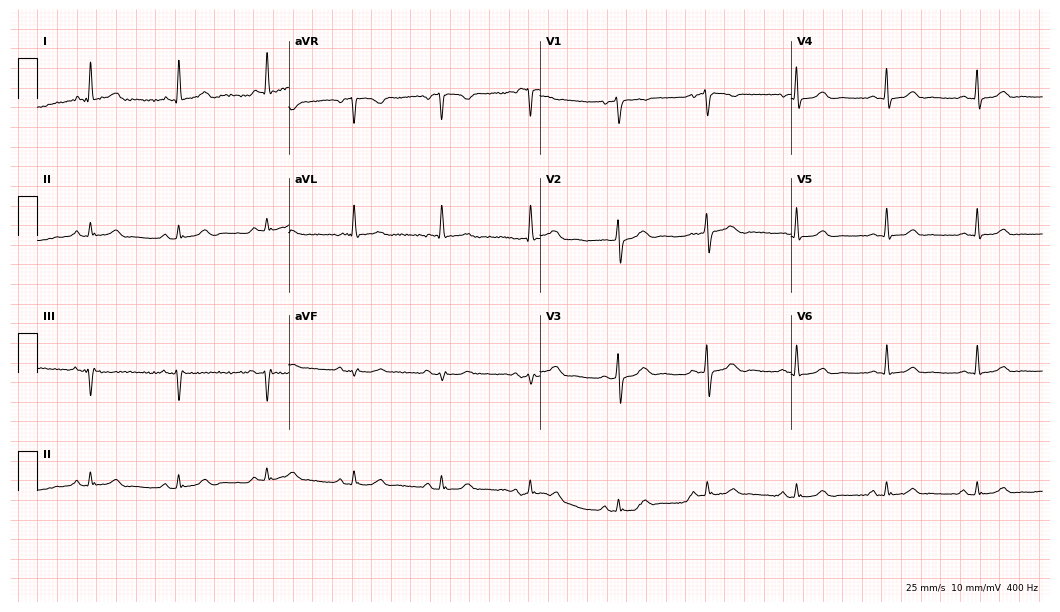
ECG — a woman, 80 years old. Labelled as a normal ECG.